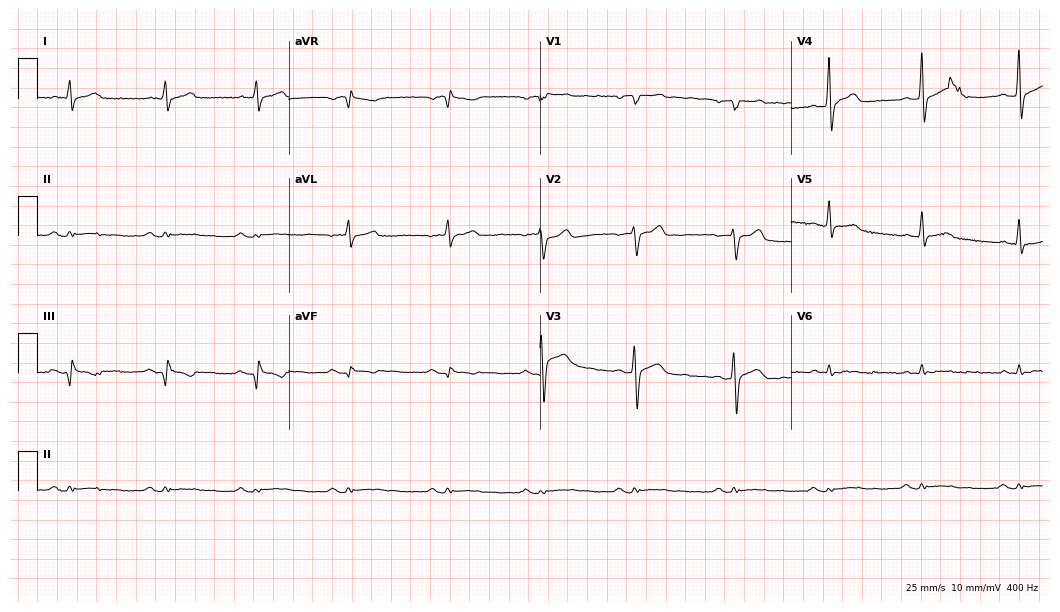
Electrocardiogram (10.2-second recording at 400 Hz), a man, 26 years old. Of the six screened findings (first-degree AV block, right bundle branch block, left bundle branch block, sinus bradycardia, atrial fibrillation, sinus tachycardia), none is recorded. Findings outside these six are not listed.